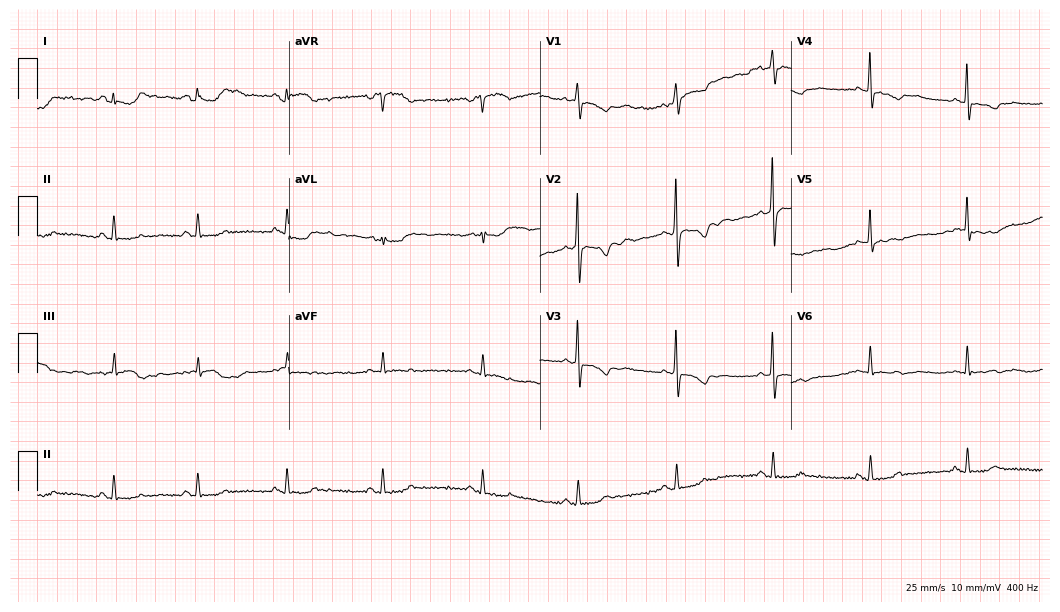
12-lead ECG from a 25-year-old woman. Screened for six findings — first-degree AV block, right bundle branch block, left bundle branch block, sinus bradycardia, atrial fibrillation, sinus tachycardia — none is recorded. Other findings, if any, are not listed.